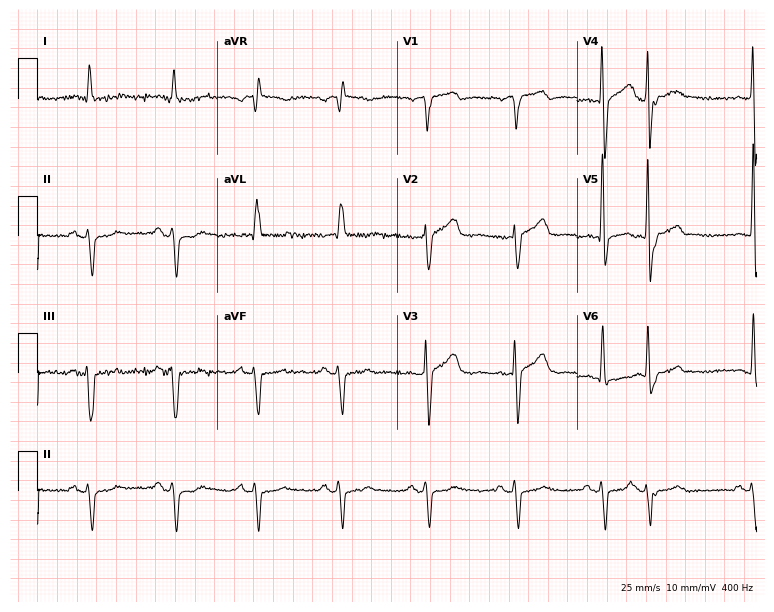
12-lead ECG (7.3-second recording at 400 Hz) from a 72-year-old man. Screened for six findings — first-degree AV block, right bundle branch block, left bundle branch block, sinus bradycardia, atrial fibrillation, sinus tachycardia — none is recorded. Other findings, if any, are not listed.